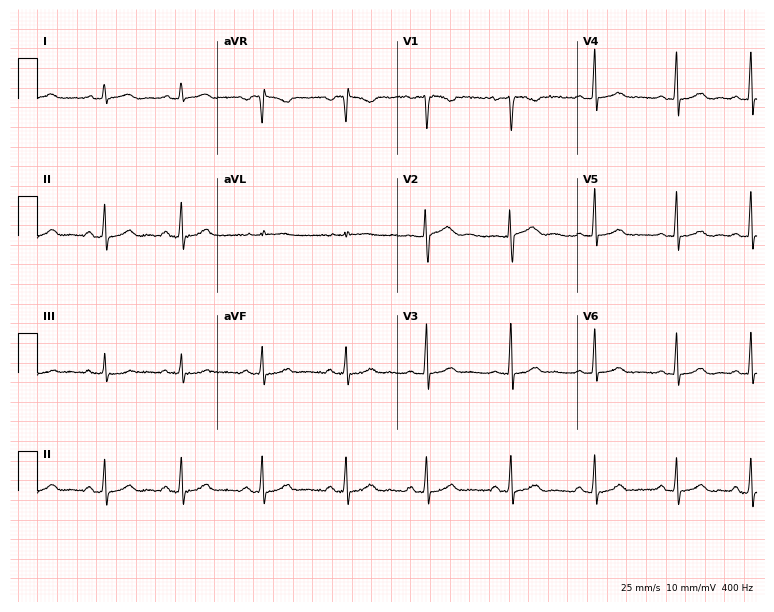
Standard 12-lead ECG recorded from a female patient, 26 years old (7.3-second recording at 400 Hz). Read as a normal ECG.